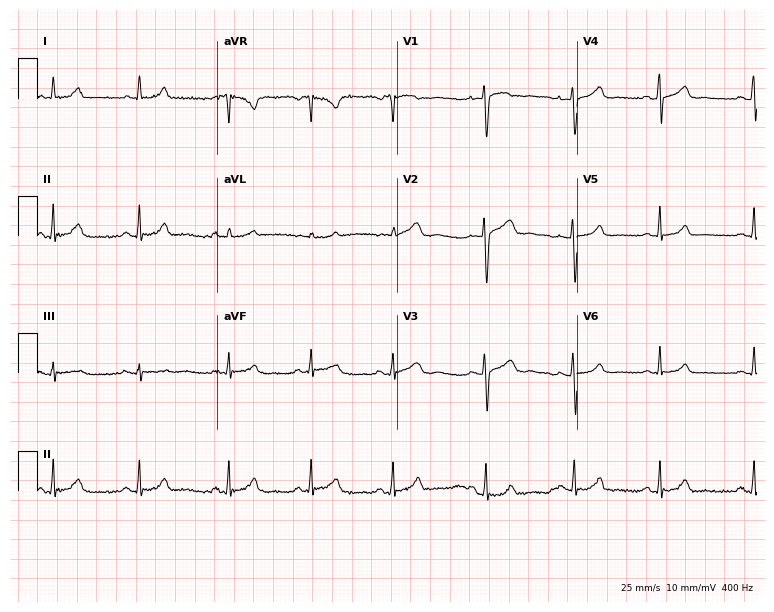
Standard 12-lead ECG recorded from a female patient, 32 years old (7.3-second recording at 400 Hz). Read as a normal ECG.